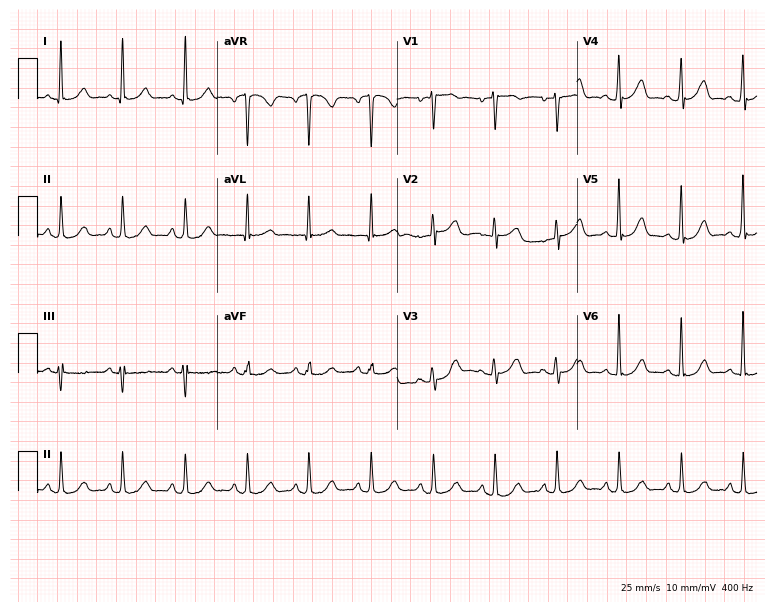
Standard 12-lead ECG recorded from a woman, 63 years old (7.3-second recording at 400 Hz). None of these six findings is recorded: first-degree AV block, right bundle branch block, left bundle branch block, sinus bradycardia, atrial fibrillation, sinus tachycardia.